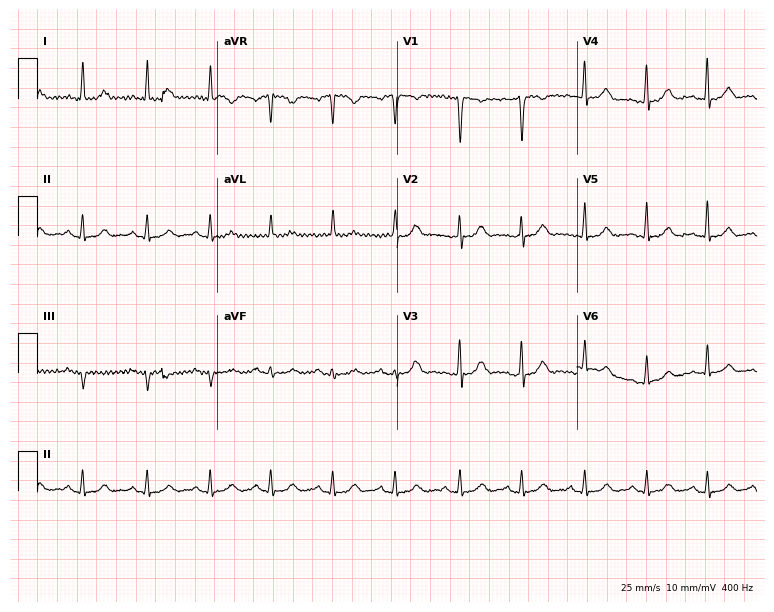
12-lead ECG from a female patient, 31 years old. No first-degree AV block, right bundle branch block, left bundle branch block, sinus bradycardia, atrial fibrillation or sinus tachycardia recorded for this tracing. Only these six findings were labelled.